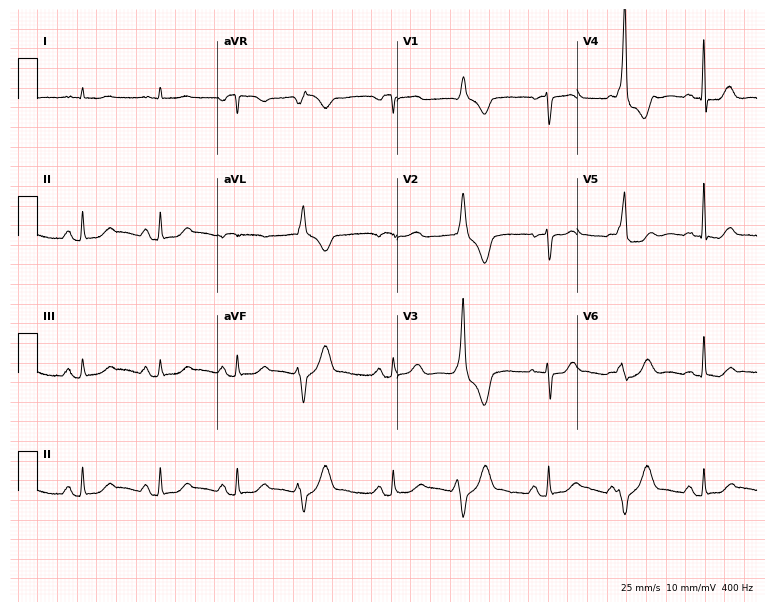
12-lead ECG (7.3-second recording at 400 Hz) from a male, 76 years old. Screened for six findings — first-degree AV block, right bundle branch block (RBBB), left bundle branch block (LBBB), sinus bradycardia, atrial fibrillation (AF), sinus tachycardia — none is recorded.